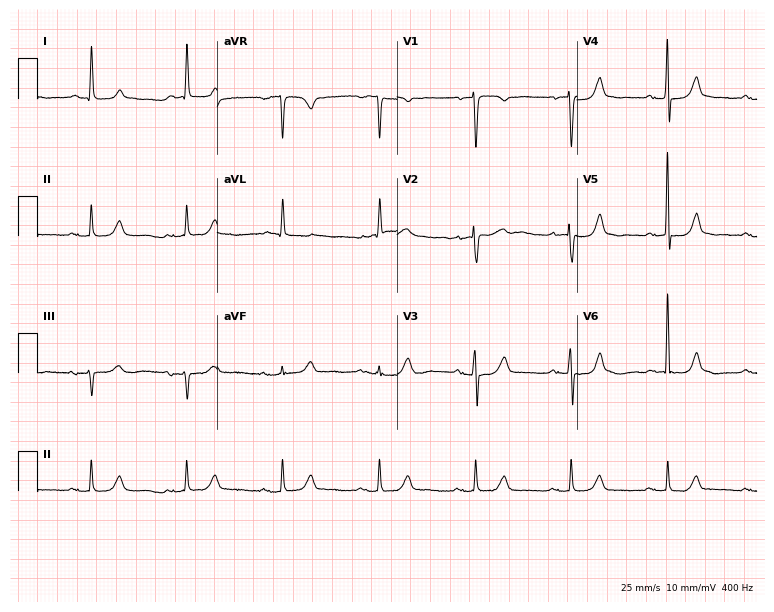
ECG (7.3-second recording at 400 Hz) — a 77-year-old female patient. Screened for six findings — first-degree AV block, right bundle branch block, left bundle branch block, sinus bradycardia, atrial fibrillation, sinus tachycardia — none is recorded.